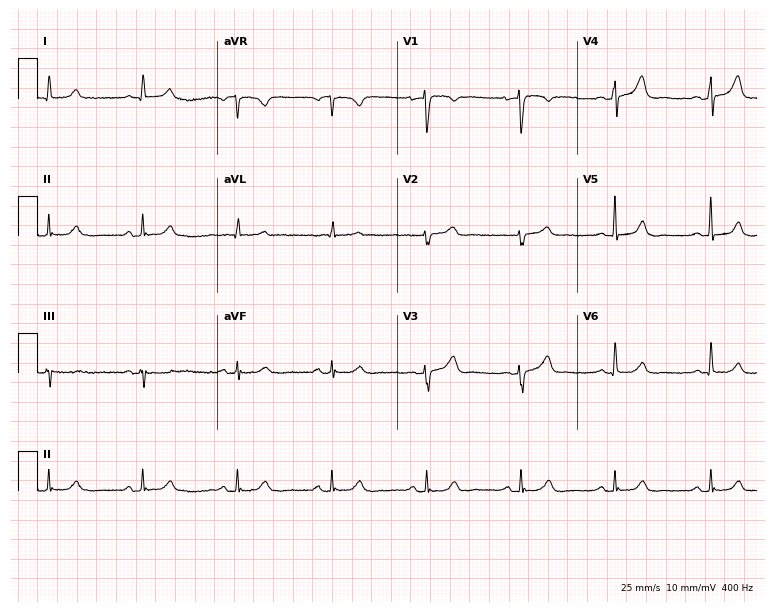
12-lead ECG from a 52-year-old female patient (7.3-second recording at 400 Hz). Recorded interpretation: within normal limits.